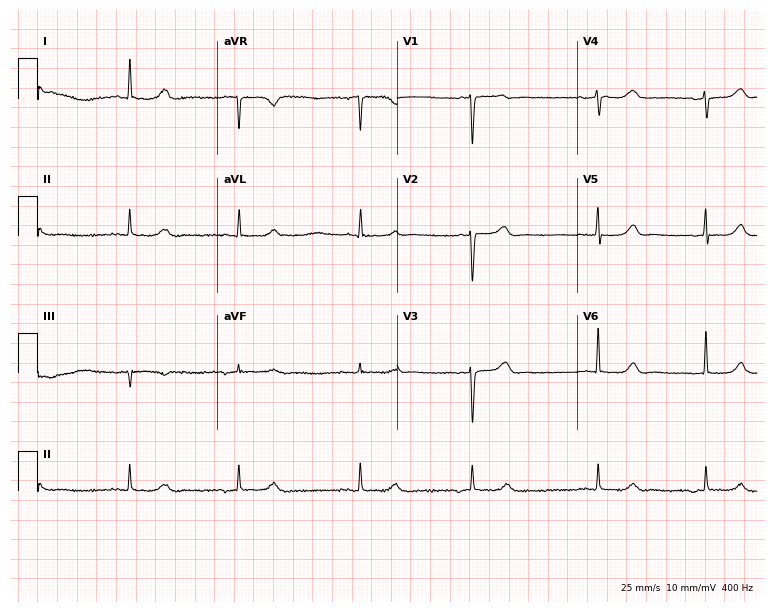
12-lead ECG from a 63-year-old female patient. Screened for six findings — first-degree AV block, right bundle branch block, left bundle branch block, sinus bradycardia, atrial fibrillation, sinus tachycardia — none is recorded.